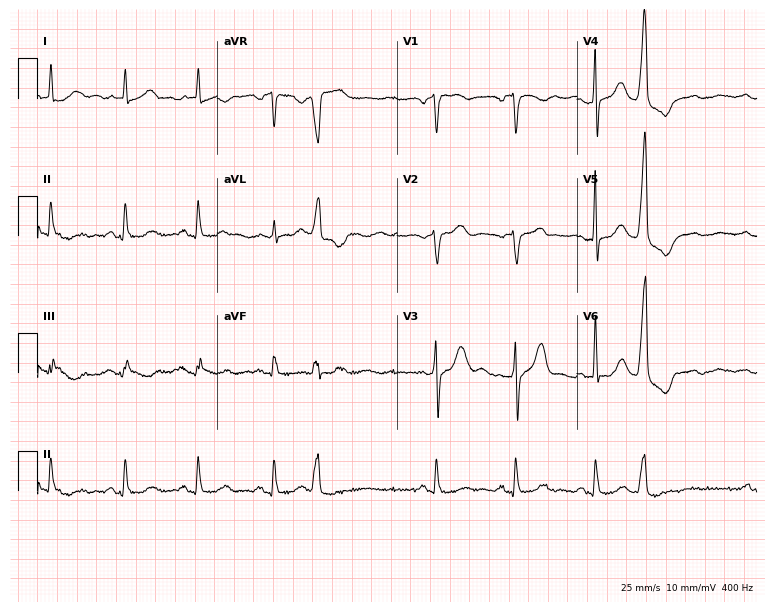
Electrocardiogram, a 78-year-old man. Of the six screened findings (first-degree AV block, right bundle branch block, left bundle branch block, sinus bradycardia, atrial fibrillation, sinus tachycardia), none is recorded. Findings outside these six are not listed.